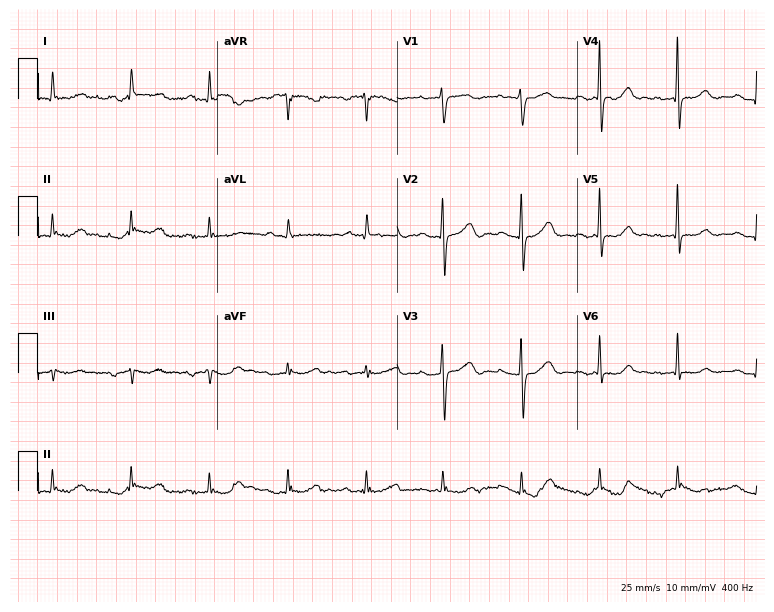
Electrocardiogram, a woman, 72 years old. Overall reading on record: normal ECG.